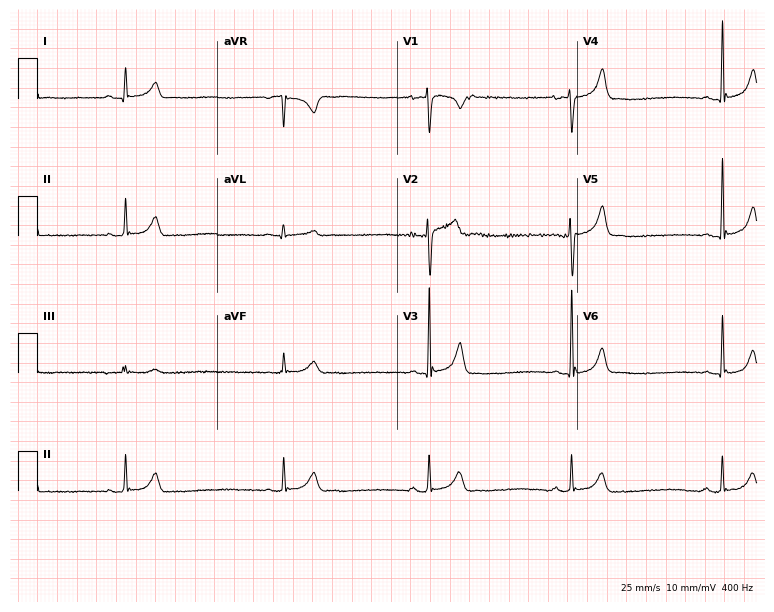
Electrocardiogram, a 22-year-old male. Of the six screened findings (first-degree AV block, right bundle branch block (RBBB), left bundle branch block (LBBB), sinus bradycardia, atrial fibrillation (AF), sinus tachycardia), none is recorded. Other findings, if any, are not listed.